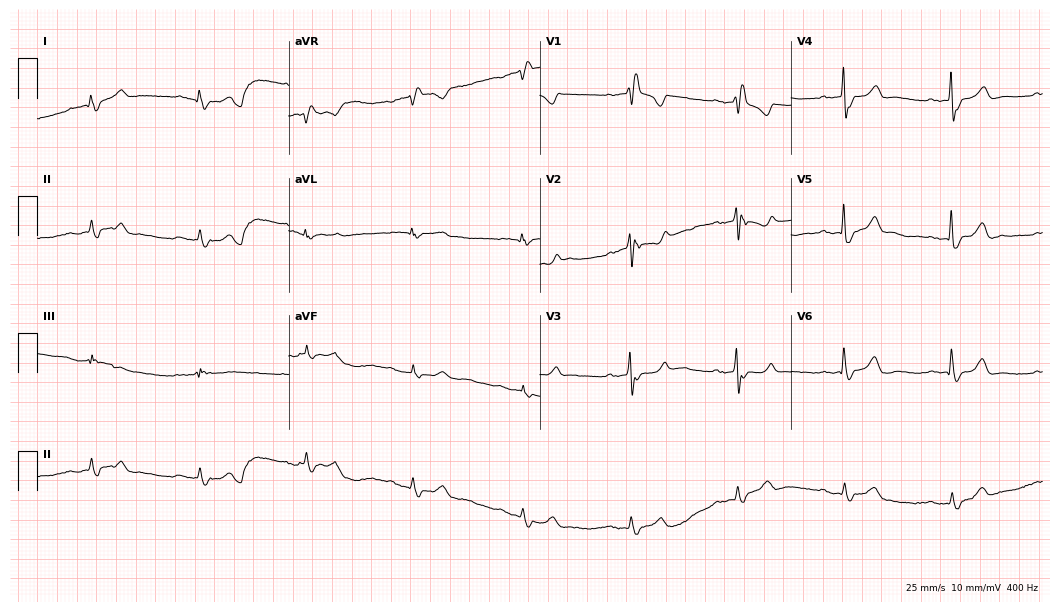
ECG — a male patient, 83 years old. Findings include first-degree AV block, right bundle branch block.